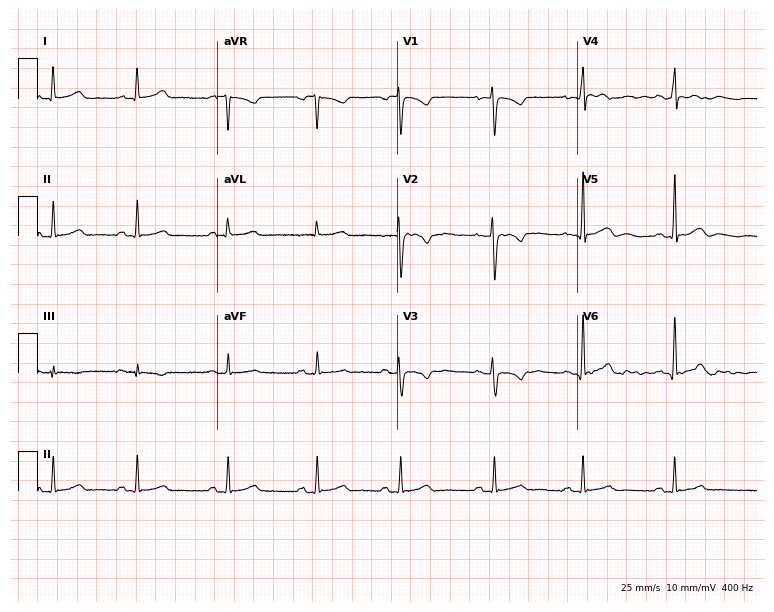
Resting 12-lead electrocardiogram. Patient: a 33-year-old woman. Read as a normal ECG.